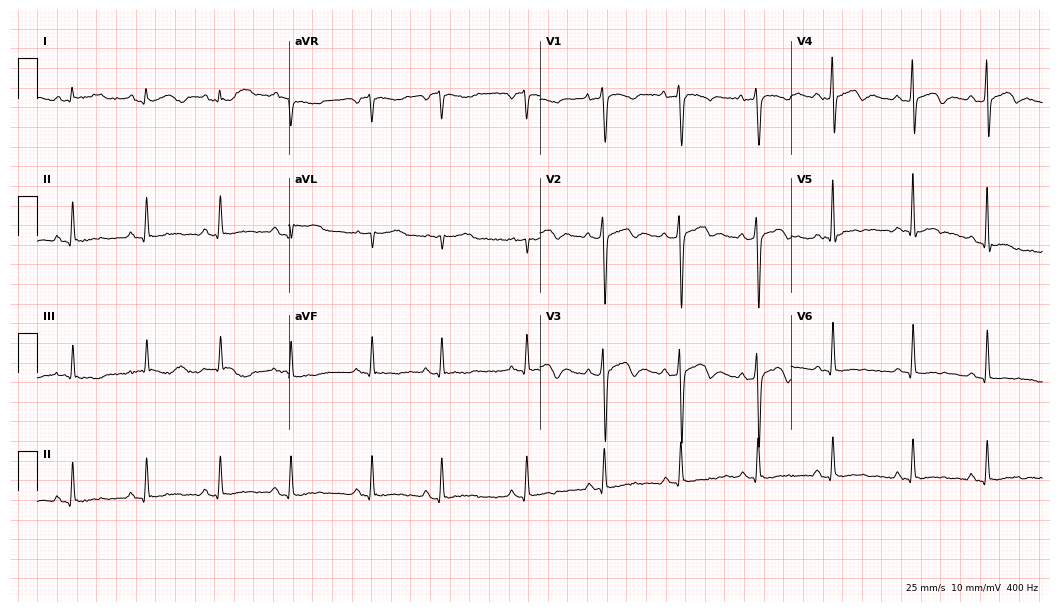
Resting 12-lead electrocardiogram. Patient: a 37-year-old male. None of these six findings is recorded: first-degree AV block, right bundle branch block, left bundle branch block, sinus bradycardia, atrial fibrillation, sinus tachycardia.